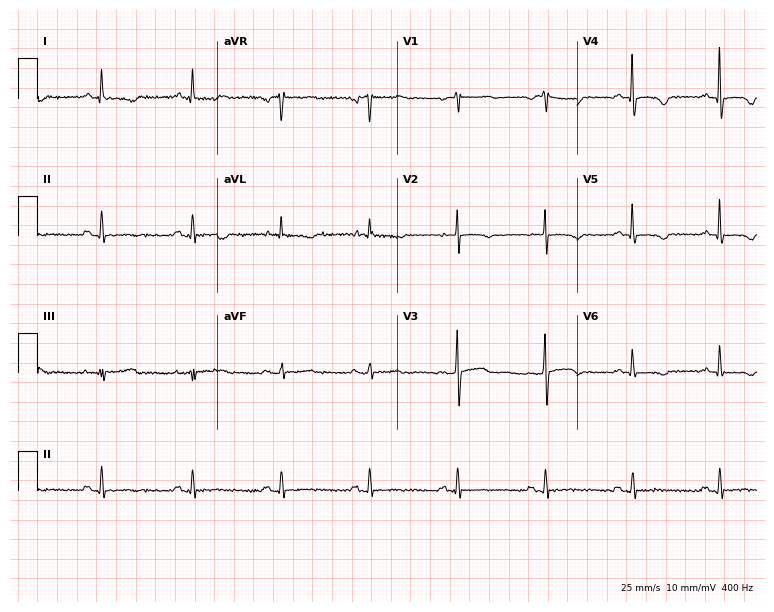
Electrocardiogram, a 74-year-old female patient. Of the six screened findings (first-degree AV block, right bundle branch block, left bundle branch block, sinus bradycardia, atrial fibrillation, sinus tachycardia), none is recorded. Other findings, if any, are not listed.